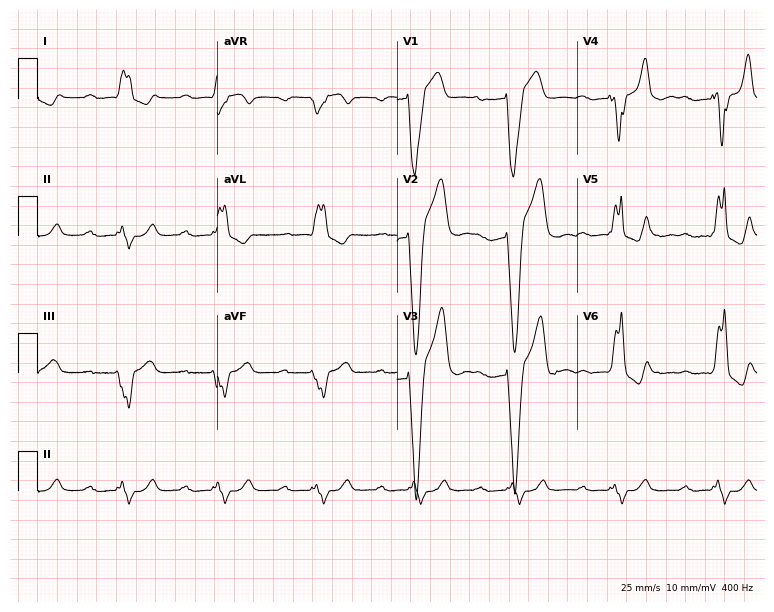
12-lead ECG from a 44-year-old man (7.3-second recording at 400 Hz). Shows first-degree AV block, left bundle branch block.